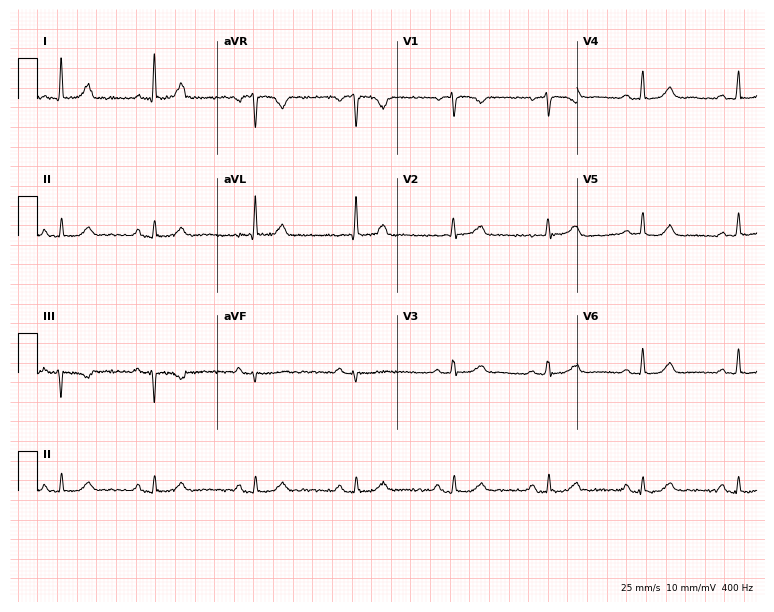
ECG (7.3-second recording at 400 Hz) — a female patient, 69 years old. Labelled as a normal ECG.